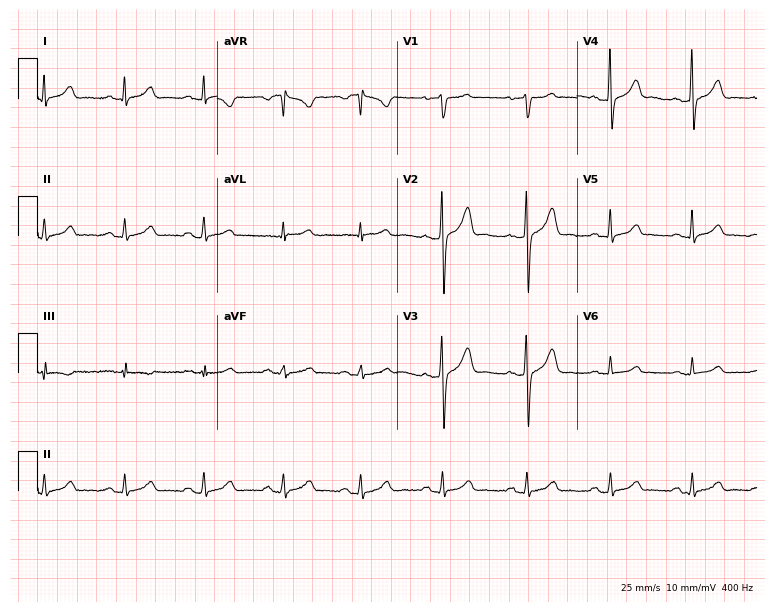
Resting 12-lead electrocardiogram (7.3-second recording at 400 Hz). Patient: a 42-year-old man. Read as a normal ECG.